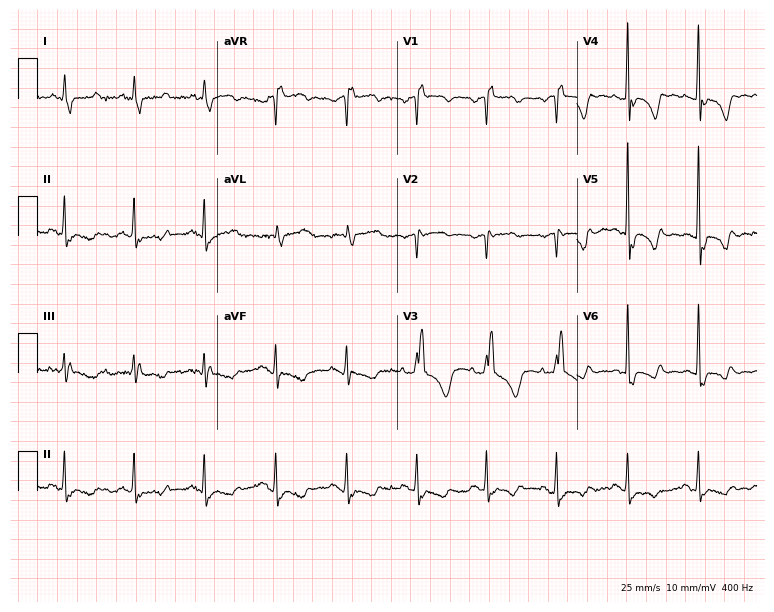
12-lead ECG from a female patient, 54 years old (7.3-second recording at 400 Hz). No first-degree AV block, right bundle branch block, left bundle branch block, sinus bradycardia, atrial fibrillation or sinus tachycardia recorded for this tracing.